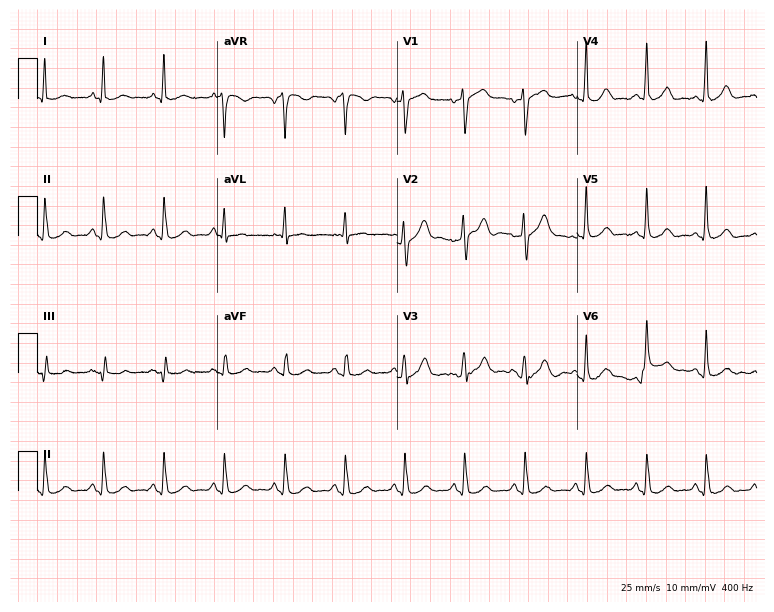
ECG — a female patient, 59 years old. Labelled as a normal ECG.